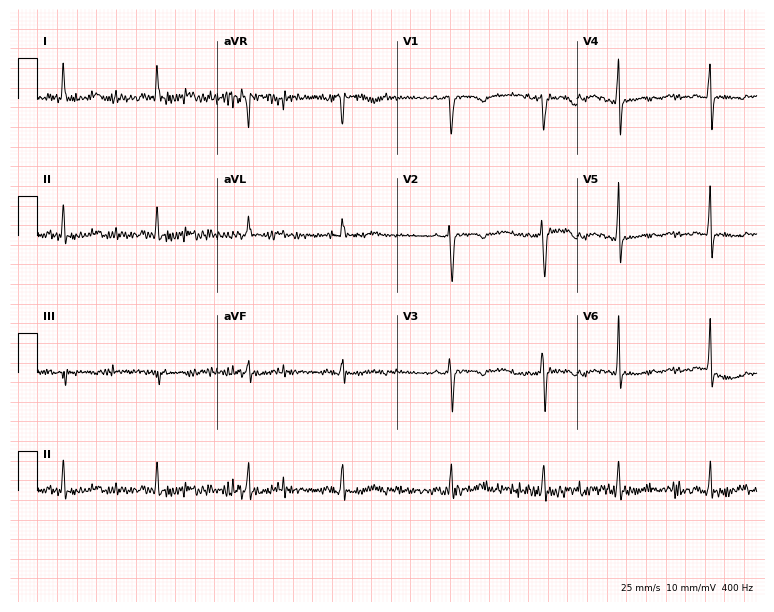
ECG — a female, 46 years old. Screened for six findings — first-degree AV block, right bundle branch block (RBBB), left bundle branch block (LBBB), sinus bradycardia, atrial fibrillation (AF), sinus tachycardia — none is recorded. Only these six findings were labelled.